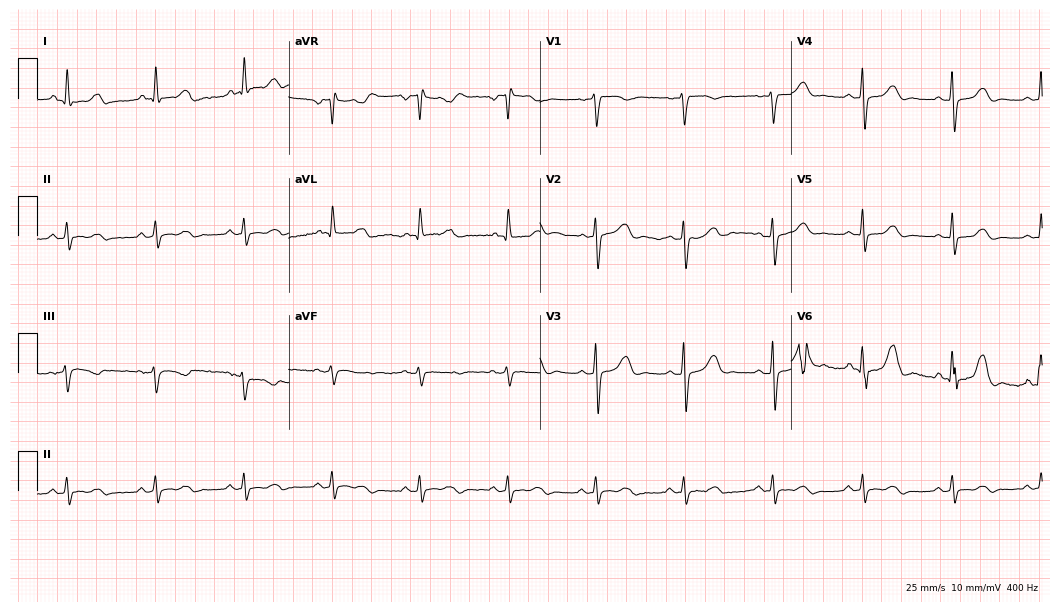
Resting 12-lead electrocardiogram (10.2-second recording at 400 Hz). Patient: a 67-year-old woman. Read as a normal ECG.